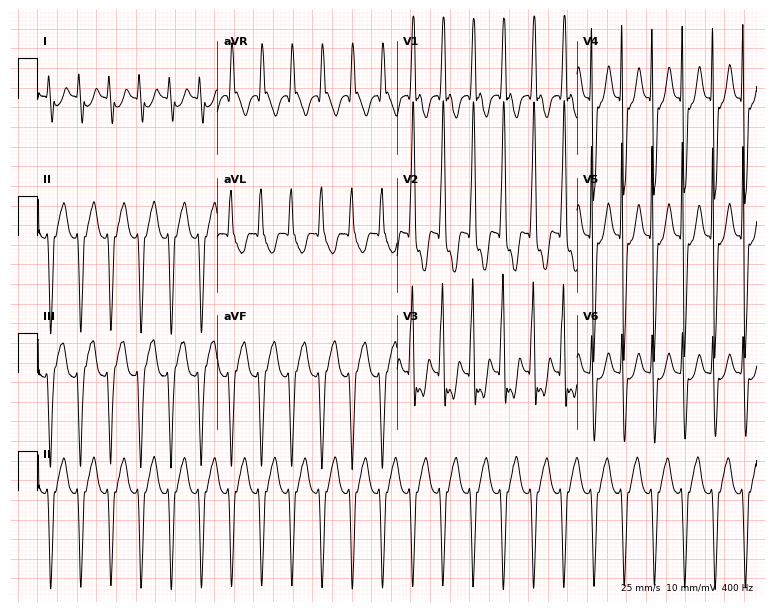
Resting 12-lead electrocardiogram. Patient: a female, 17 years old. None of these six findings is recorded: first-degree AV block, right bundle branch block, left bundle branch block, sinus bradycardia, atrial fibrillation, sinus tachycardia.